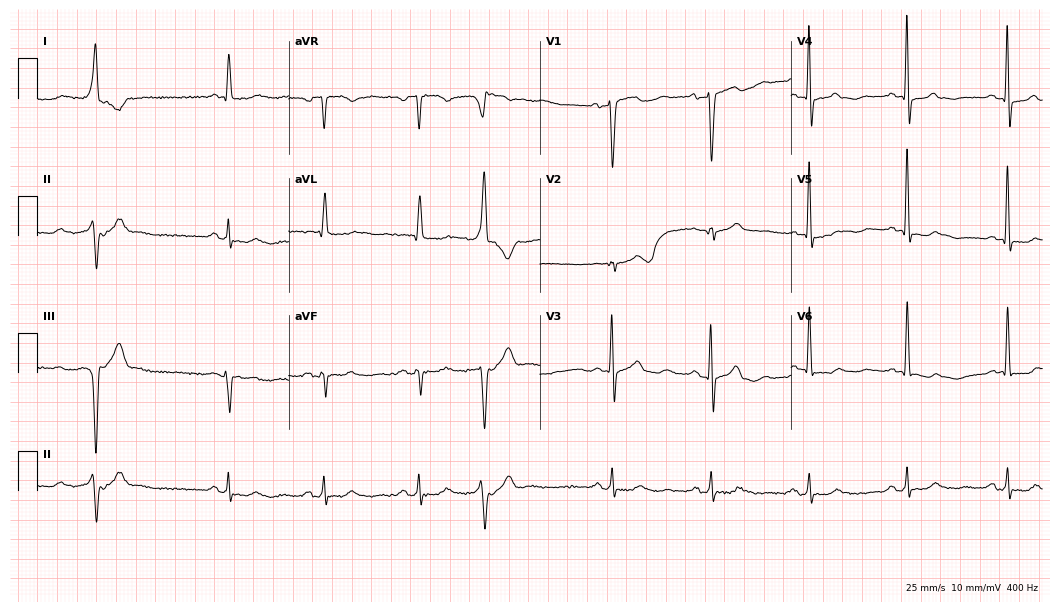
12-lead ECG from an 82-year-old man. No first-degree AV block, right bundle branch block (RBBB), left bundle branch block (LBBB), sinus bradycardia, atrial fibrillation (AF) or sinus tachycardia recorded for this tracing.